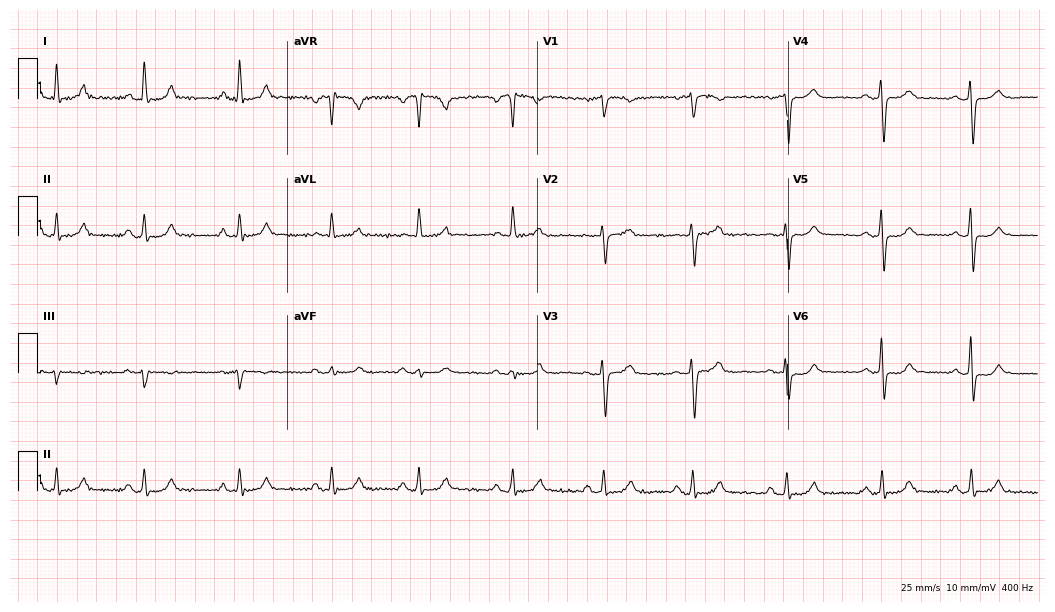
12-lead ECG (10.2-second recording at 400 Hz) from a female, 59 years old. Labelled as a normal ECG.